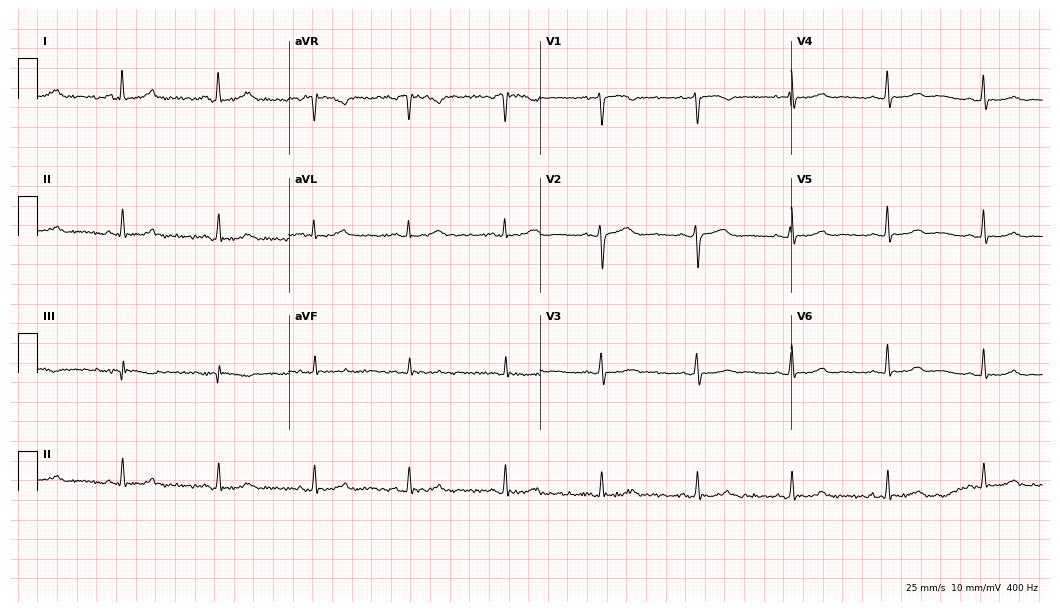
Resting 12-lead electrocardiogram. Patient: a female, 45 years old. Read as a normal ECG.